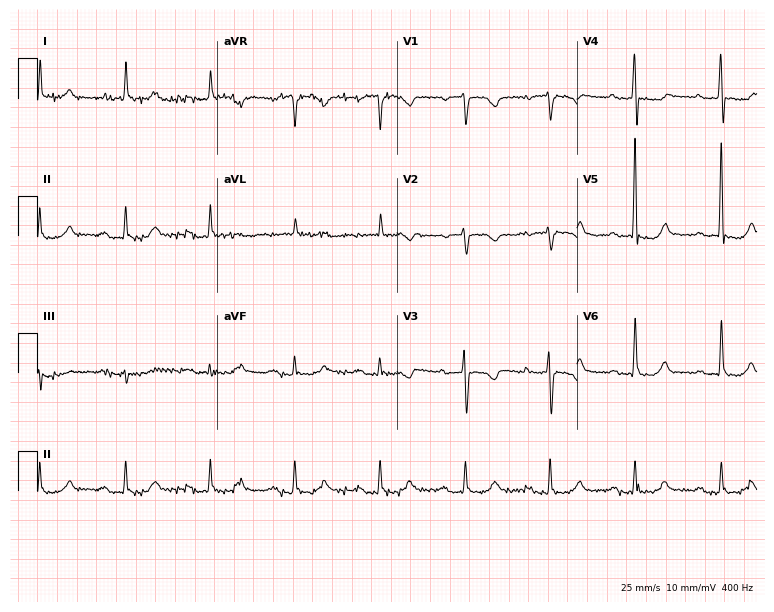
12-lead ECG (7.3-second recording at 400 Hz) from a 73-year-old woman. Screened for six findings — first-degree AV block, right bundle branch block, left bundle branch block, sinus bradycardia, atrial fibrillation, sinus tachycardia — none is recorded. Findings outside these six are not listed.